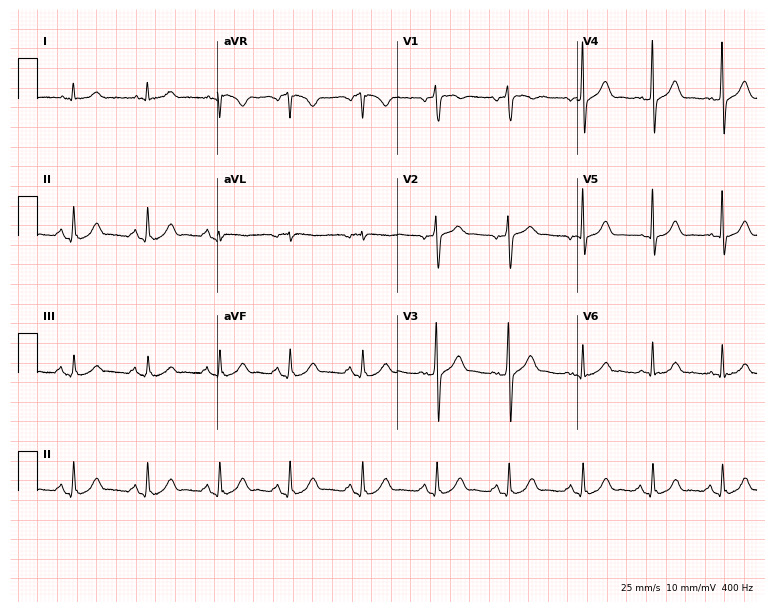
12-lead ECG (7.3-second recording at 400 Hz) from a male, 30 years old. Labelled as a normal ECG.